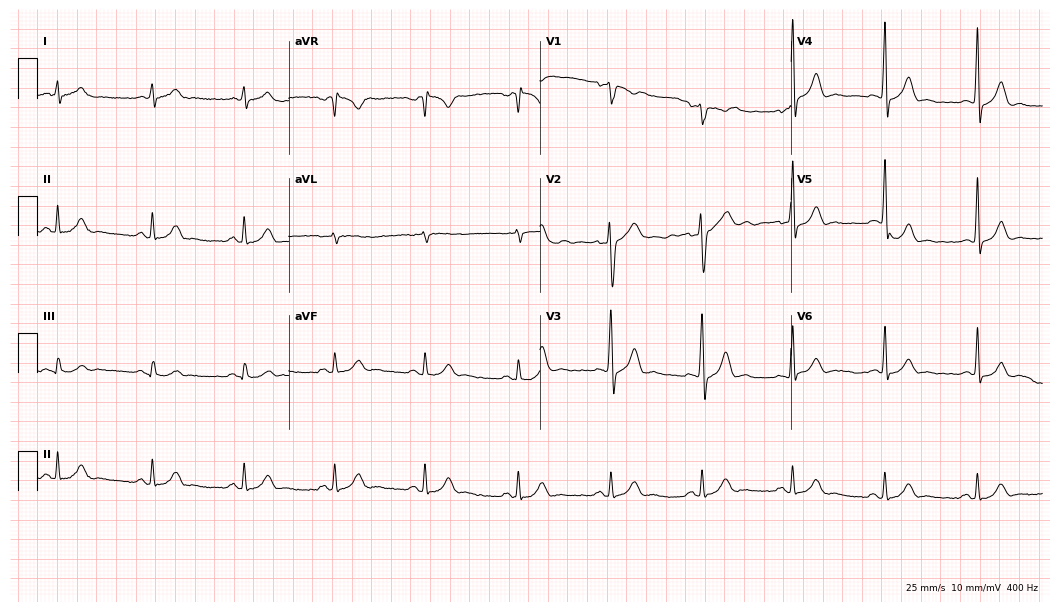
Standard 12-lead ECG recorded from a male, 34 years old (10.2-second recording at 400 Hz). None of these six findings is recorded: first-degree AV block, right bundle branch block, left bundle branch block, sinus bradycardia, atrial fibrillation, sinus tachycardia.